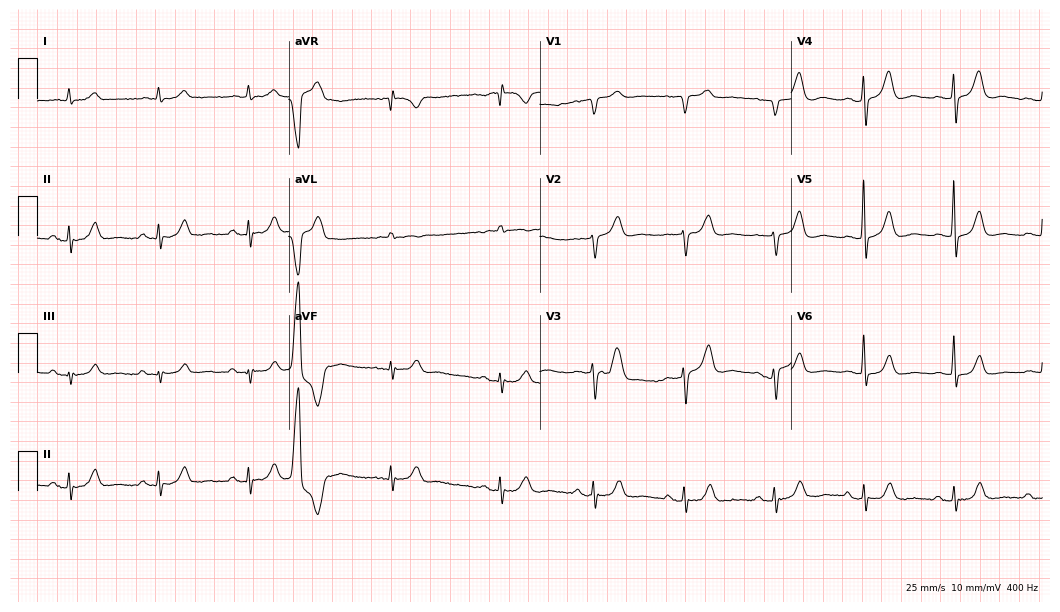
Resting 12-lead electrocardiogram (10.2-second recording at 400 Hz). Patient: a male, 85 years old. None of these six findings is recorded: first-degree AV block, right bundle branch block, left bundle branch block, sinus bradycardia, atrial fibrillation, sinus tachycardia.